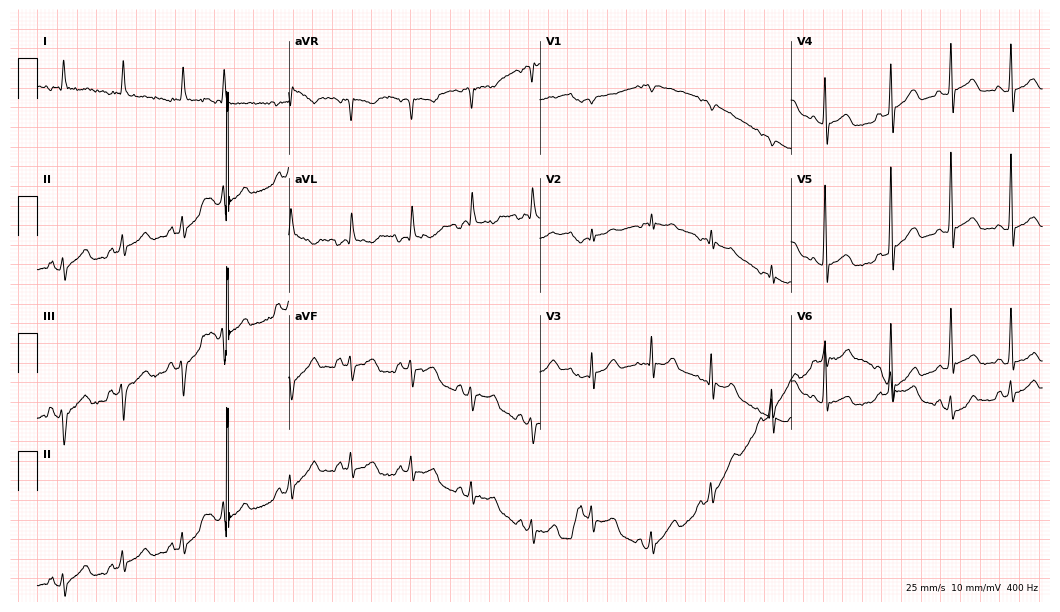
Resting 12-lead electrocardiogram. Patient: an 81-year-old woman. None of these six findings is recorded: first-degree AV block, right bundle branch block, left bundle branch block, sinus bradycardia, atrial fibrillation, sinus tachycardia.